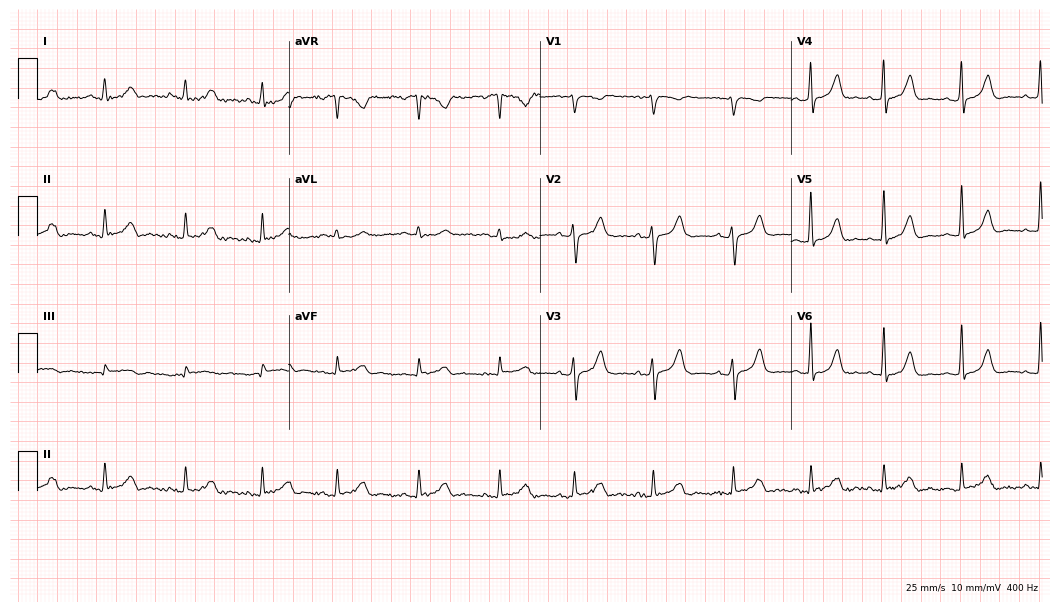
Resting 12-lead electrocardiogram. Patient: a 26-year-old female. Read as a normal ECG.